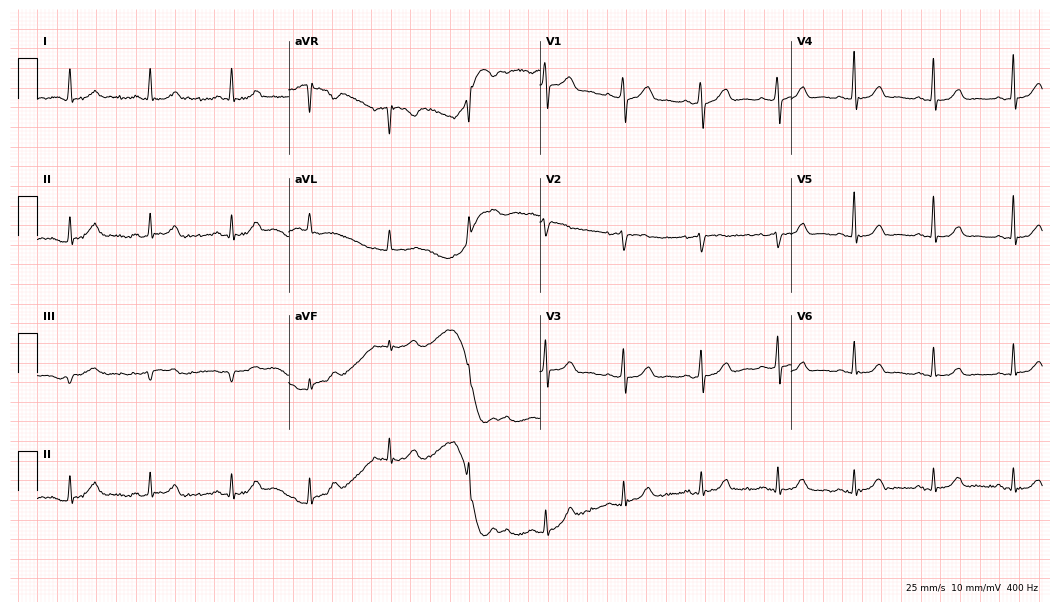
ECG (10.2-second recording at 400 Hz) — a 49-year-old female. Labelled as a normal ECG.